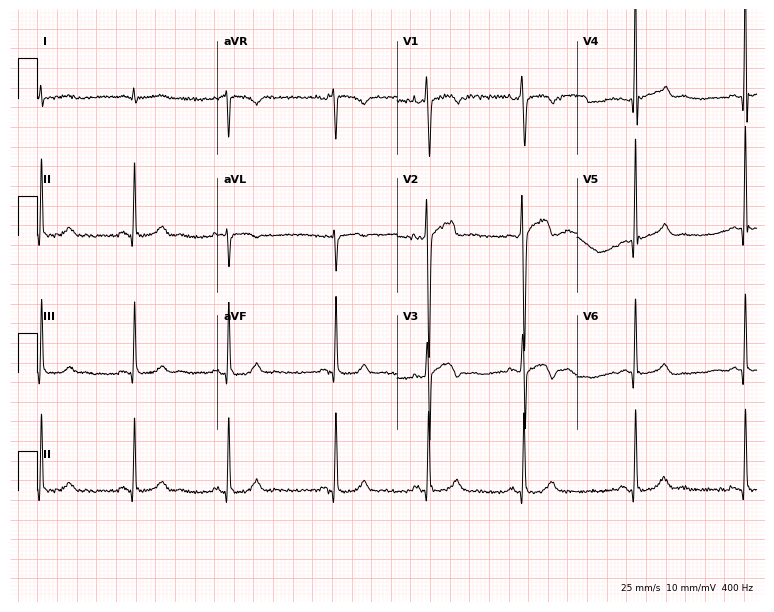
Standard 12-lead ECG recorded from a 42-year-old male (7.3-second recording at 400 Hz). None of these six findings is recorded: first-degree AV block, right bundle branch block (RBBB), left bundle branch block (LBBB), sinus bradycardia, atrial fibrillation (AF), sinus tachycardia. Only these six findings were labelled.